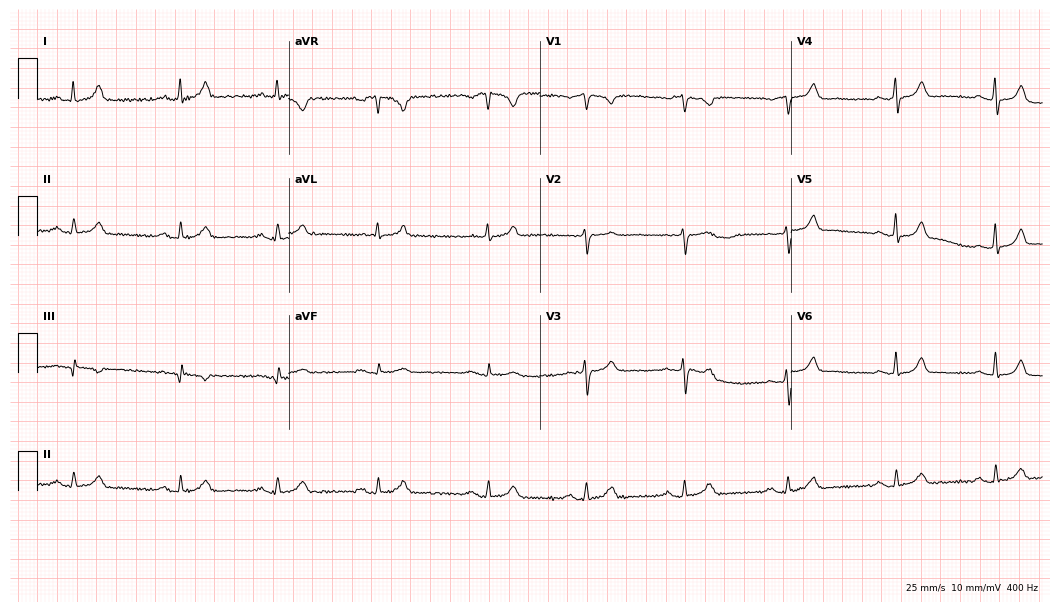
12-lead ECG from a 56-year-old female patient. Labelled as a normal ECG.